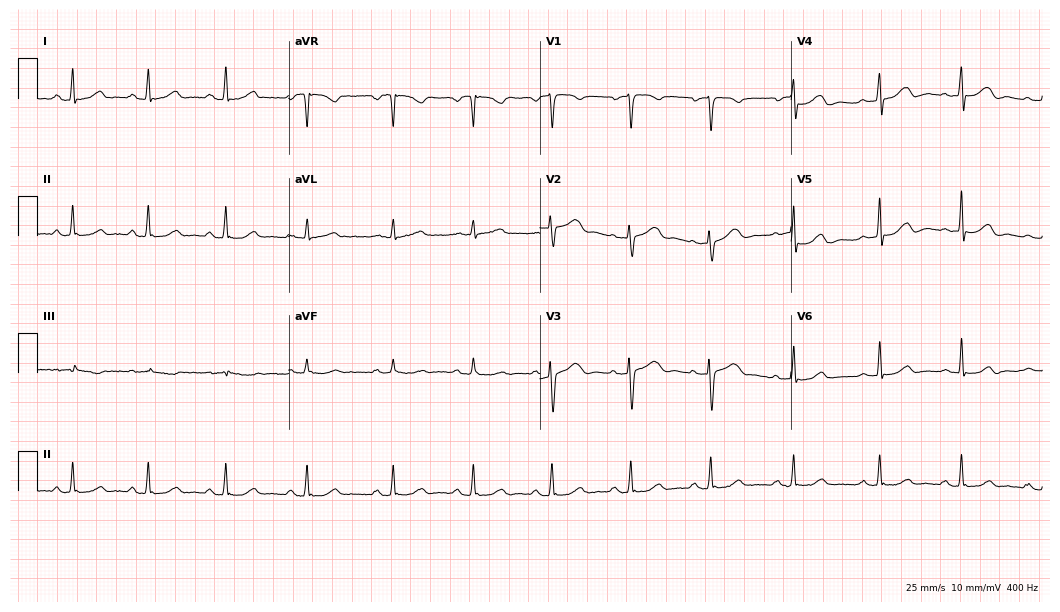
12-lead ECG (10.2-second recording at 400 Hz) from a 39-year-old female patient. Labelled as a normal ECG.